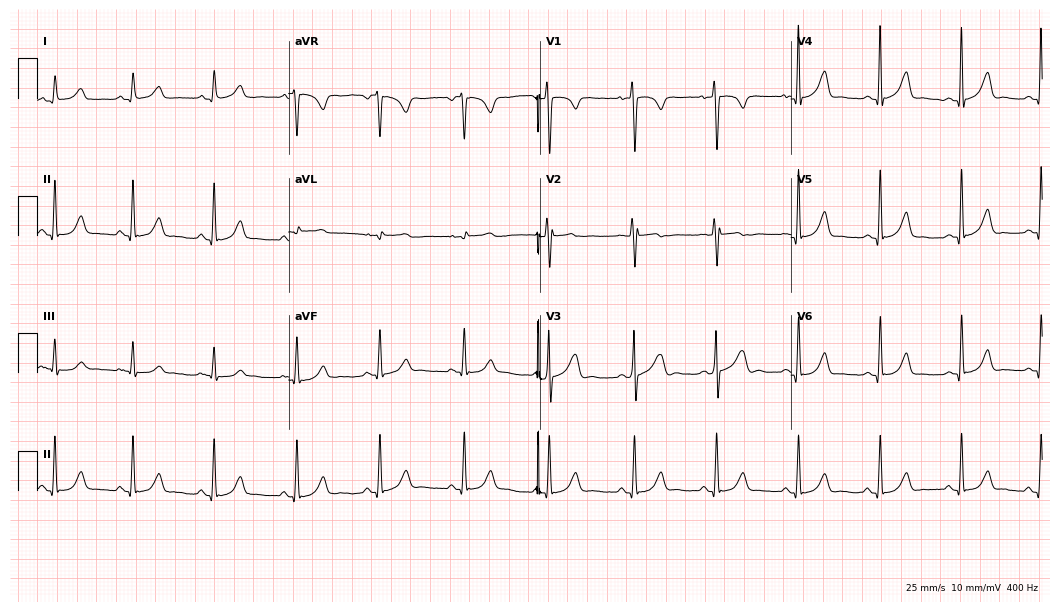
12-lead ECG from a male, 83 years old. Recorded interpretation: within normal limits.